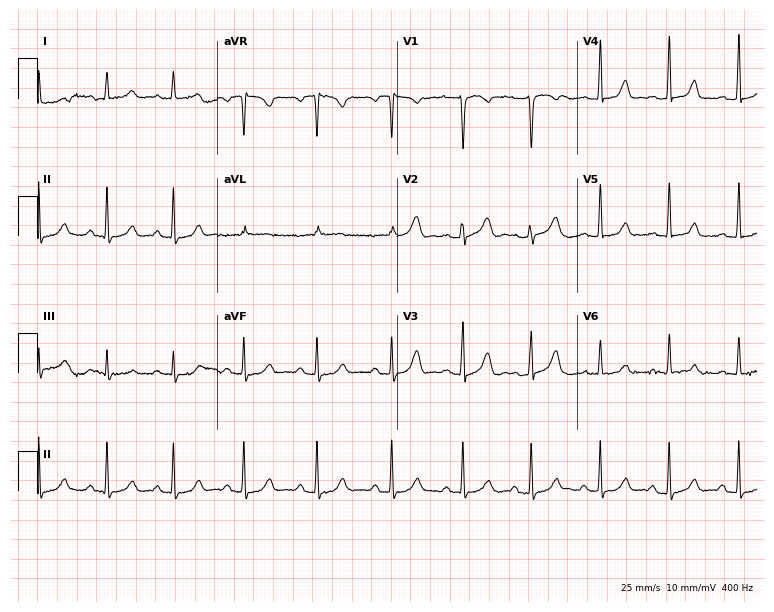
12-lead ECG from a woman, 36 years old (7.3-second recording at 400 Hz). Recorded interpretation: within normal limits.